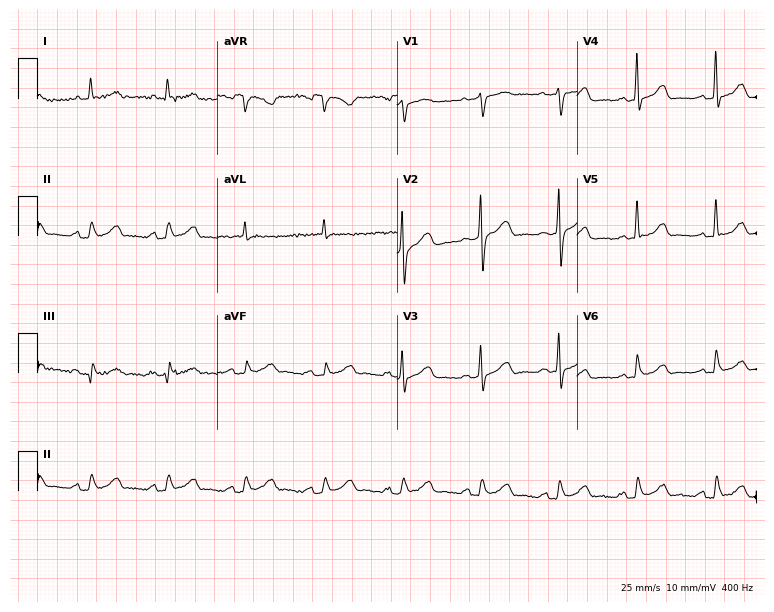
12-lead ECG from a female patient, 63 years old (7.3-second recording at 400 Hz). No first-degree AV block, right bundle branch block (RBBB), left bundle branch block (LBBB), sinus bradycardia, atrial fibrillation (AF) or sinus tachycardia recorded for this tracing. Findings outside these six are not listed.